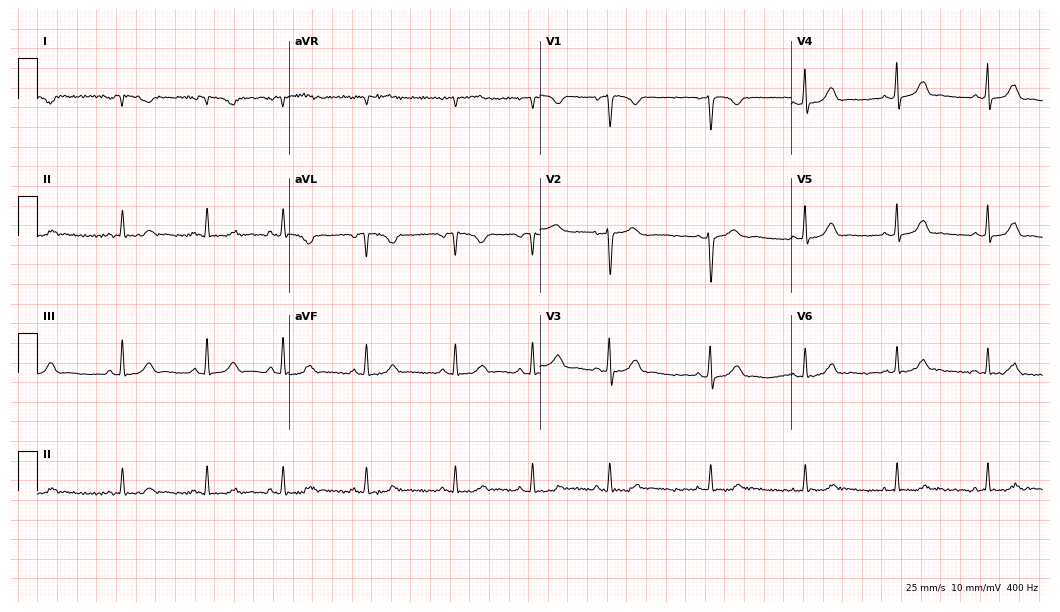
12-lead ECG from a female, 24 years old. Labelled as a normal ECG.